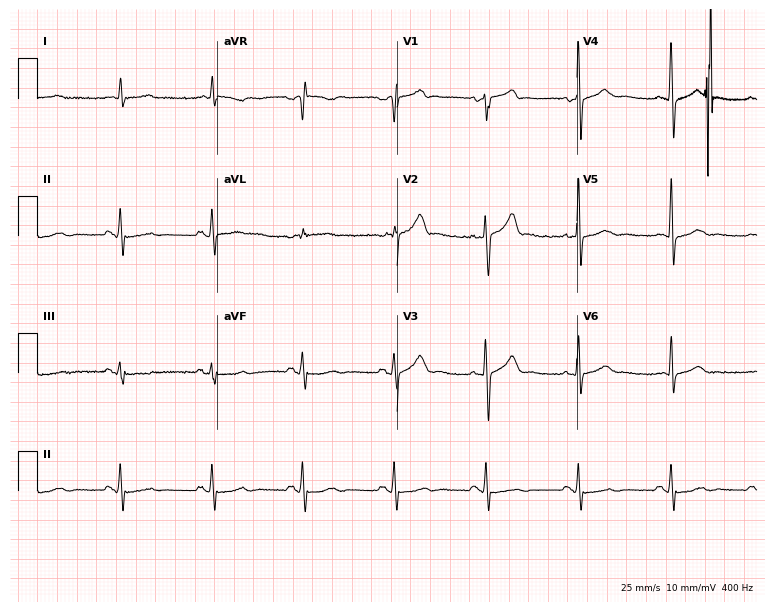
ECG — a male patient, 73 years old. Screened for six findings — first-degree AV block, right bundle branch block, left bundle branch block, sinus bradycardia, atrial fibrillation, sinus tachycardia — none is recorded.